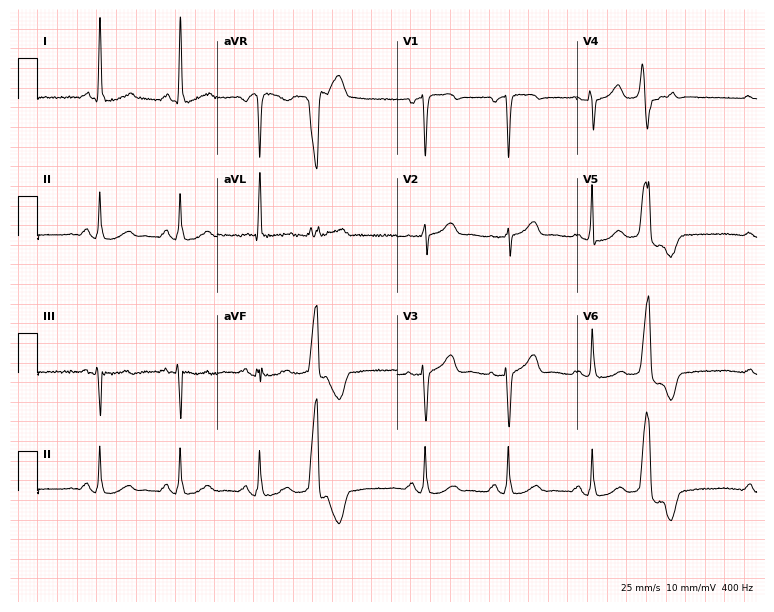
ECG (7.3-second recording at 400 Hz) — a female patient, 56 years old. Screened for six findings — first-degree AV block, right bundle branch block (RBBB), left bundle branch block (LBBB), sinus bradycardia, atrial fibrillation (AF), sinus tachycardia — none is recorded. Findings outside these six are not listed.